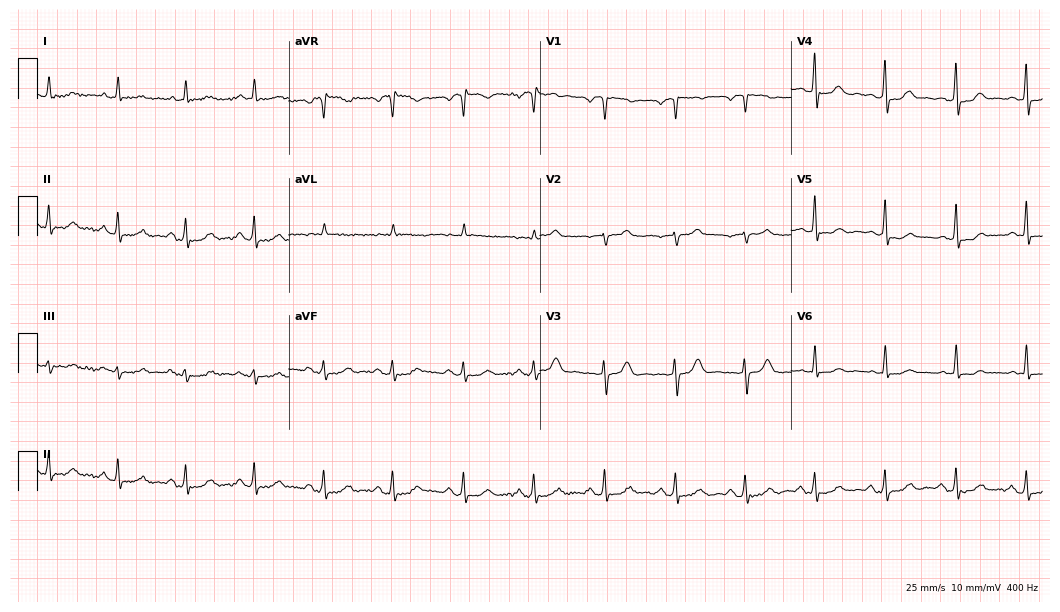
Standard 12-lead ECG recorded from a 50-year-old female patient. Read as a normal ECG.